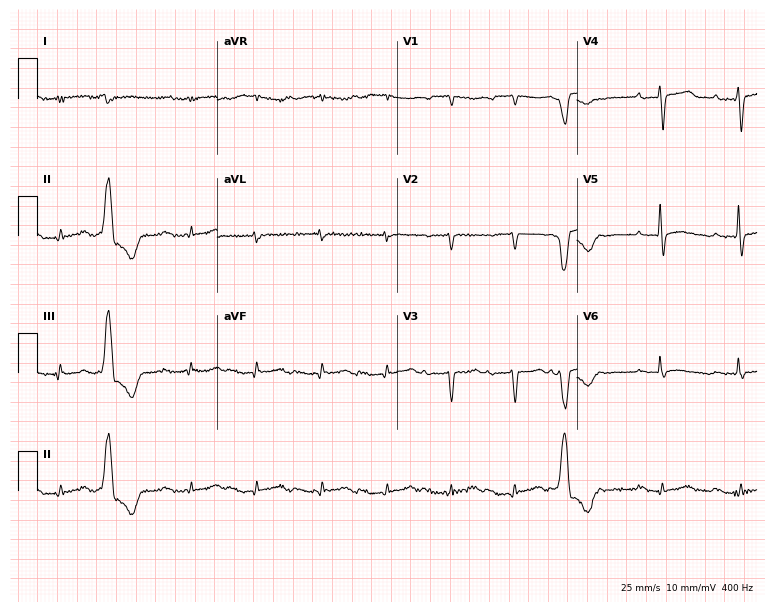
Standard 12-lead ECG recorded from a 77-year-old female patient (7.3-second recording at 400 Hz). None of these six findings is recorded: first-degree AV block, right bundle branch block, left bundle branch block, sinus bradycardia, atrial fibrillation, sinus tachycardia.